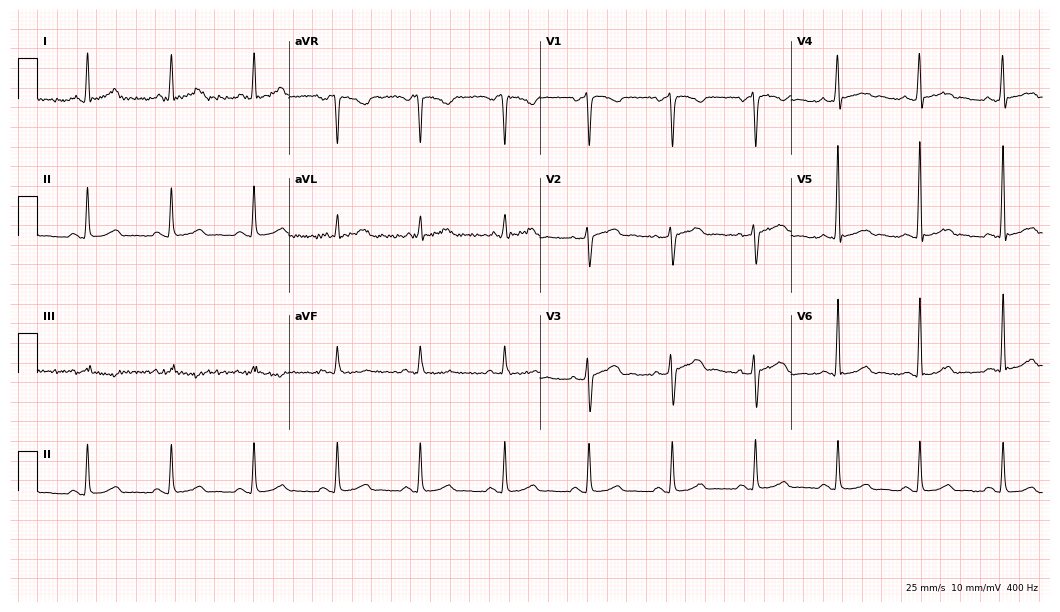
Resting 12-lead electrocardiogram. Patient: a male, 50 years old. None of these six findings is recorded: first-degree AV block, right bundle branch block, left bundle branch block, sinus bradycardia, atrial fibrillation, sinus tachycardia. Other findings, if any, are not listed.